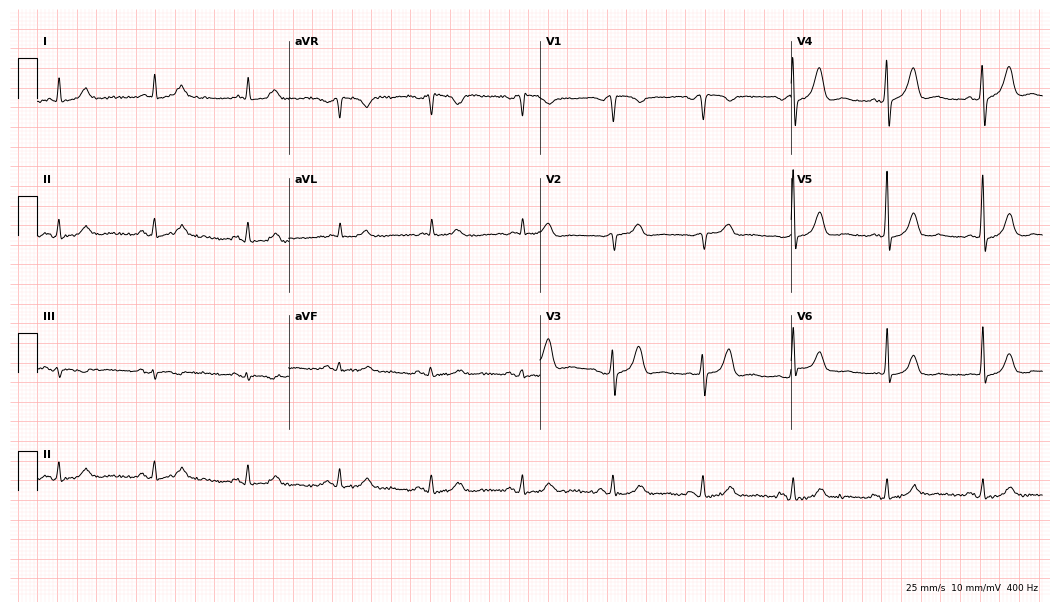
Resting 12-lead electrocardiogram. Patient: a 67-year-old man. None of these six findings is recorded: first-degree AV block, right bundle branch block, left bundle branch block, sinus bradycardia, atrial fibrillation, sinus tachycardia.